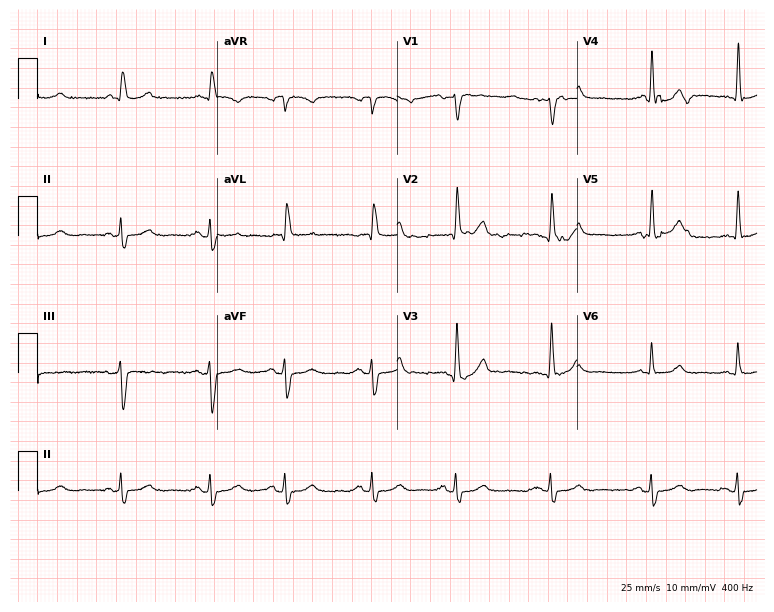
Resting 12-lead electrocardiogram. Patient: a male, 82 years old. None of these six findings is recorded: first-degree AV block, right bundle branch block, left bundle branch block, sinus bradycardia, atrial fibrillation, sinus tachycardia.